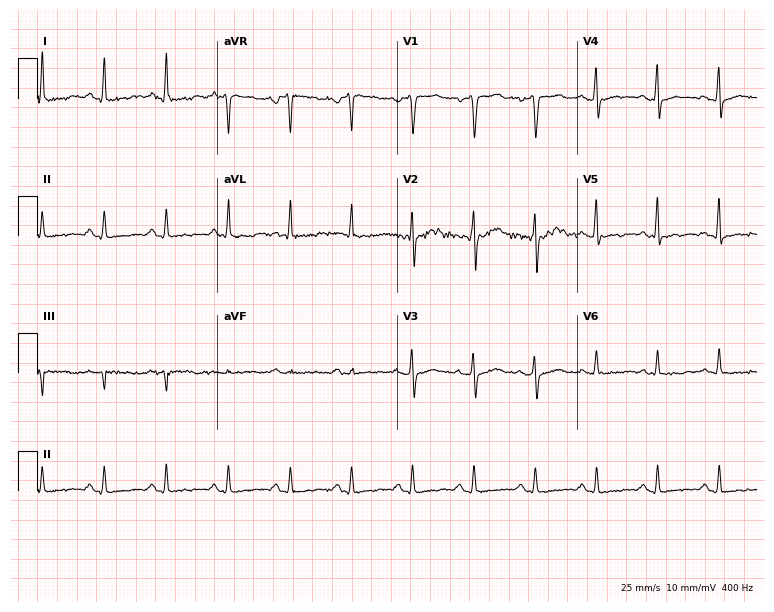
Electrocardiogram (7.3-second recording at 400 Hz), a man, 36 years old. Of the six screened findings (first-degree AV block, right bundle branch block, left bundle branch block, sinus bradycardia, atrial fibrillation, sinus tachycardia), none is recorded.